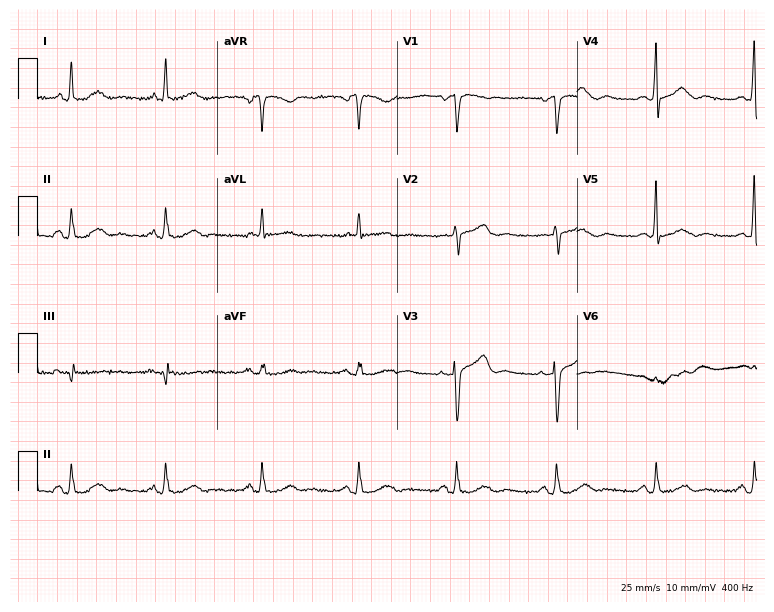
ECG — a 72-year-old female. Screened for six findings — first-degree AV block, right bundle branch block (RBBB), left bundle branch block (LBBB), sinus bradycardia, atrial fibrillation (AF), sinus tachycardia — none is recorded.